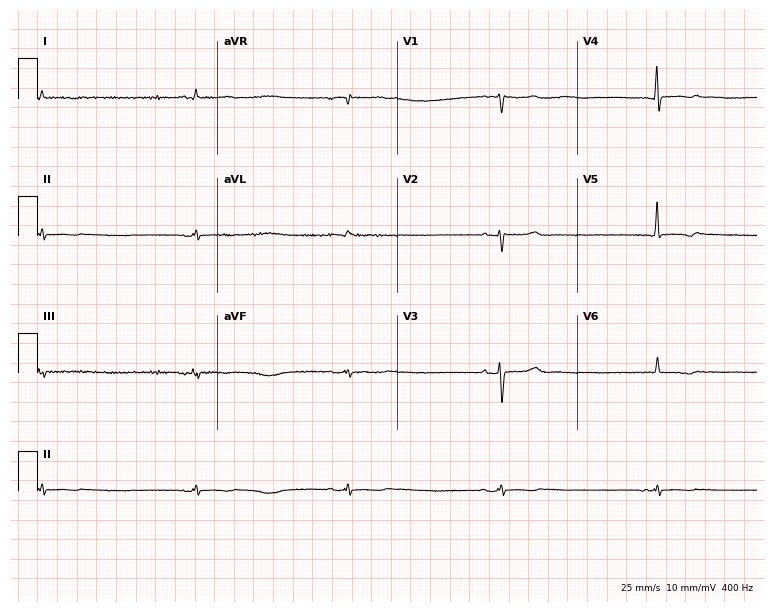
12-lead ECG (7.3-second recording at 400 Hz) from a 78-year-old male patient. Findings include sinus bradycardia (a sinus rate of 50 beats per minute or less).